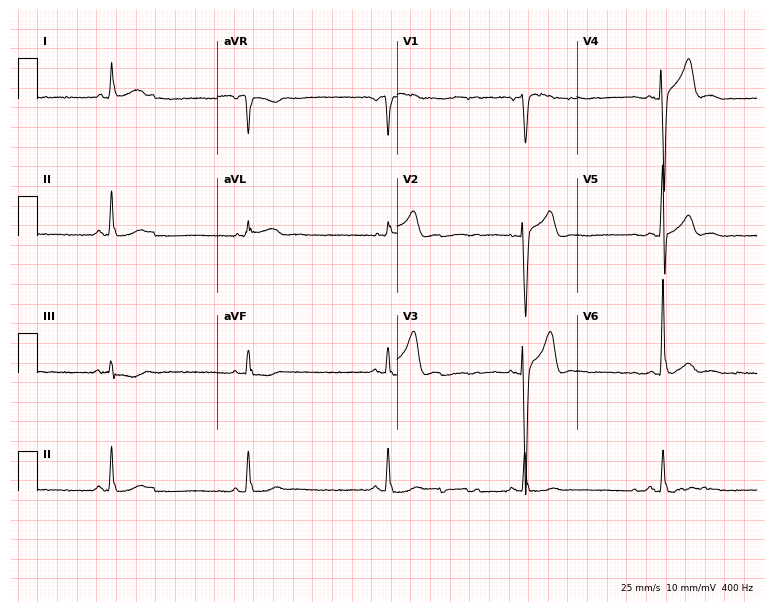
Resting 12-lead electrocardiogram. Patient: a male, 65 years old. The tracing shows sinus bradycardia (a sinus rate of 50 beats per minute or less).